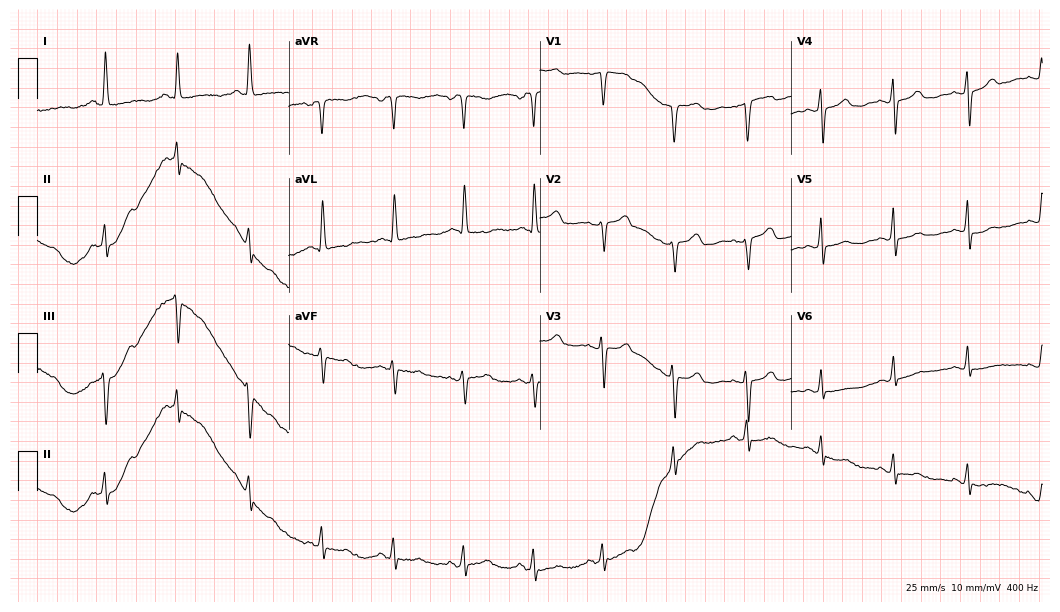
ECG — a woman, 65 years old. Screened for six findings — first-degree AV block, right bundle branch block, left bundle branch block, sinus bradycardia, atrial fibrillation, sinus tachycardia — none is recorded.